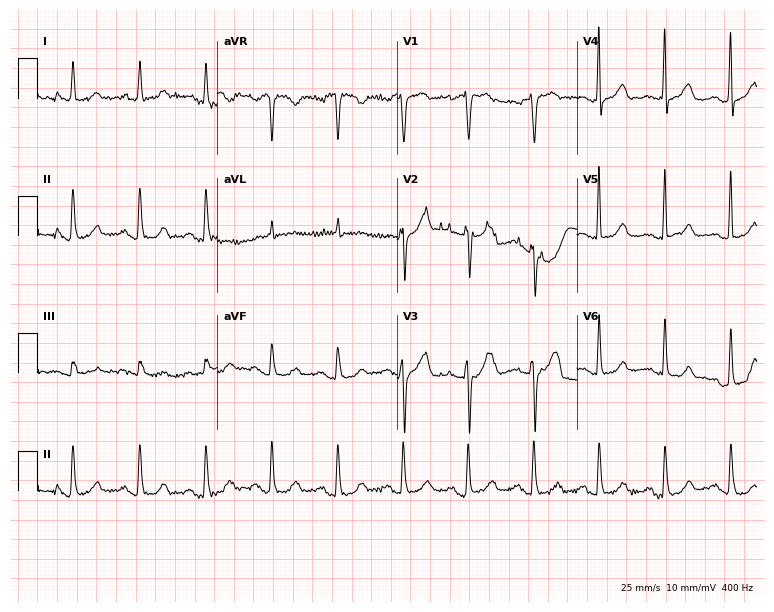
Standard 12-lead ECG recorded from a 61-year-old female. Read as a normal ECG.